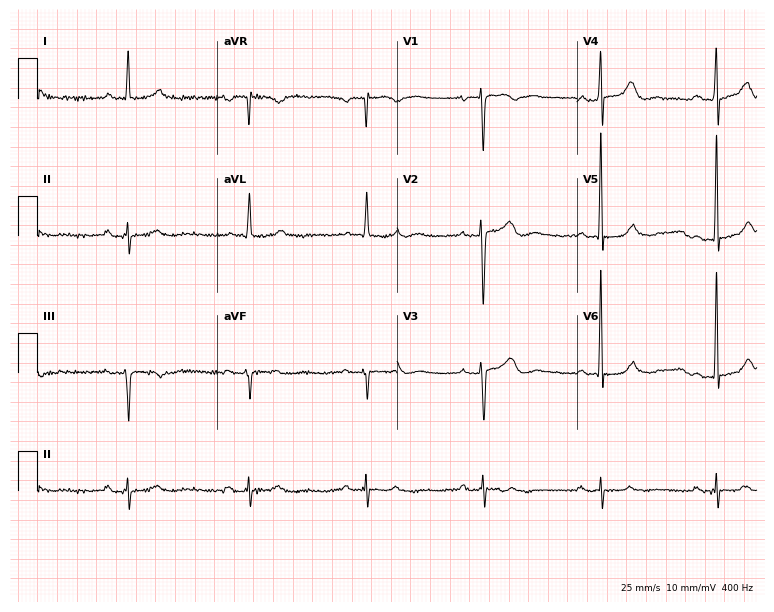
Electrocardiogram (7.3-second recording at 400 Hz), a male patient, 73 years old. Interpretation includes first-degree AV block.